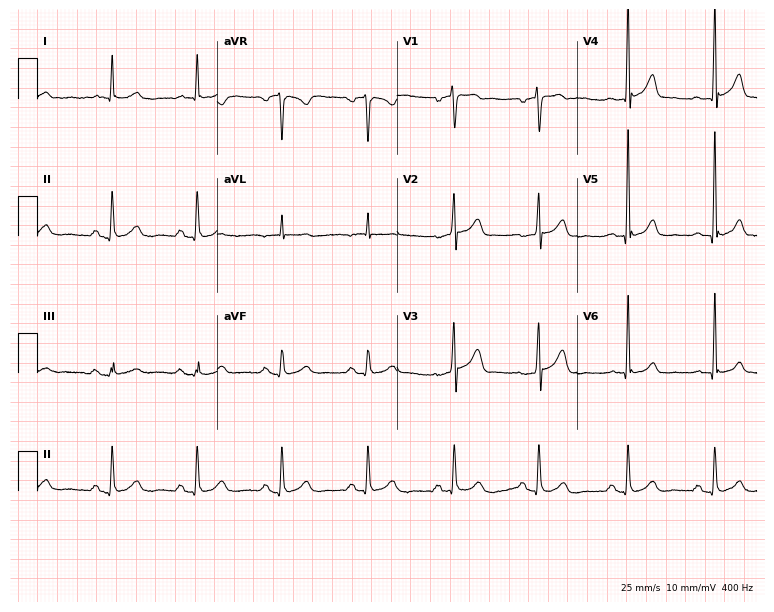
Standard 12-lead ECG recorded from a man, 65 years old (7.3-second recording at 400 Hz). Read as a normal ECG.